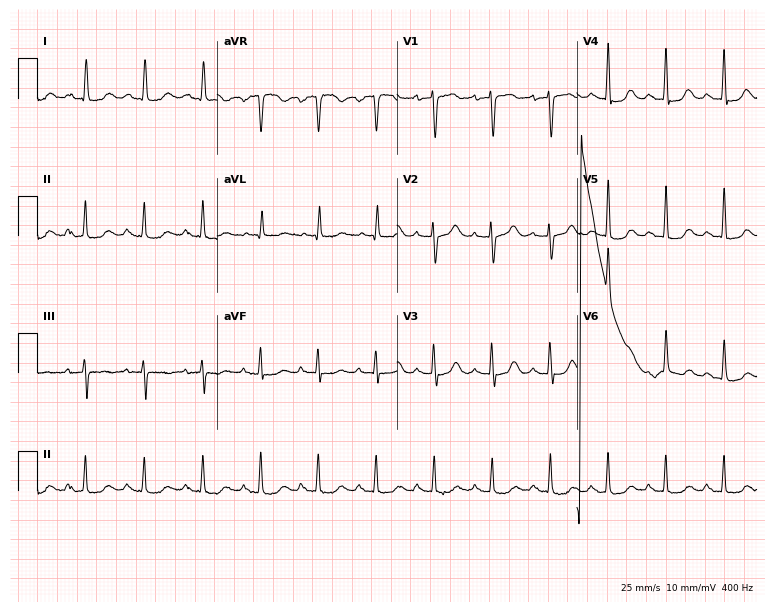
Resting 12-lead electrocardiogram (7.3-second recording at 400 Hz). Patient: a woman, 74 years old. The tracing shows sinus tachycardia (a sinus rate of 100 beats per minute or more).